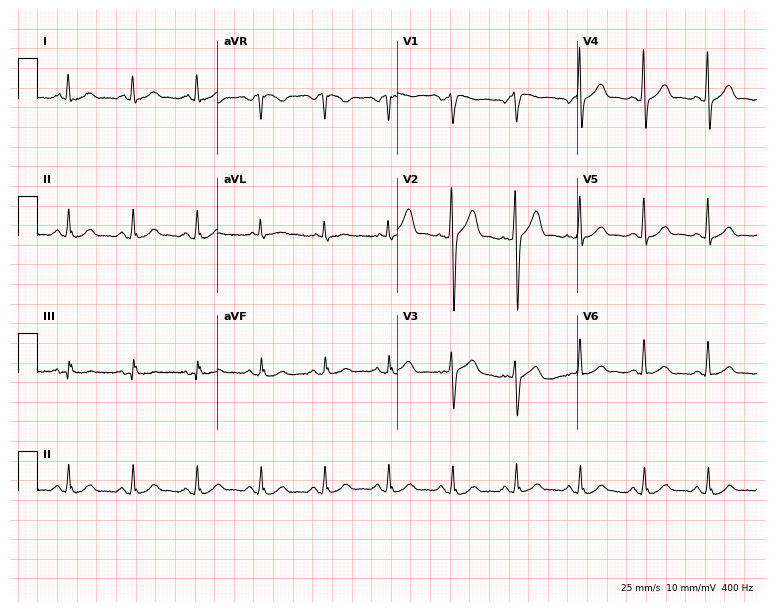
12-lead ECG (7.3-second recording at 400 Hz) from a 78-year-old male patient. Labelled as a normal ECG.